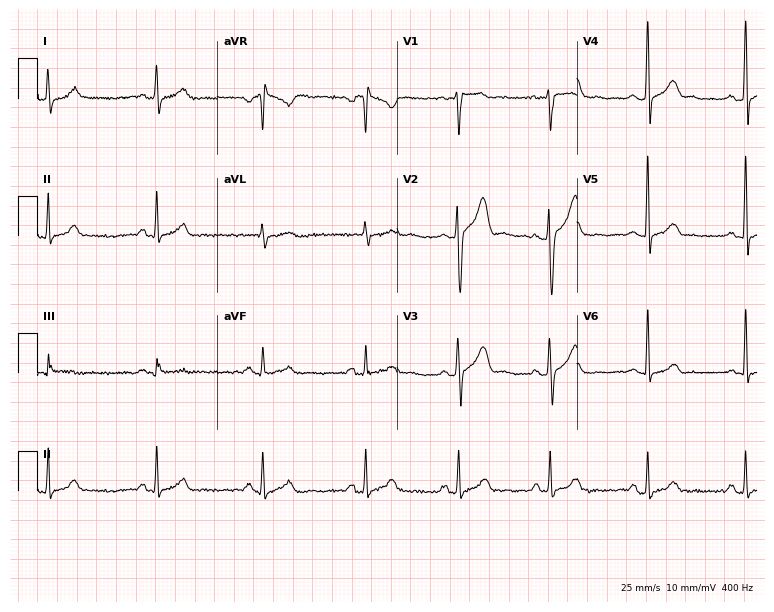
Standard 12-lead ECG recorded from a male, 36 years old (7.3-second recording at 400 Hz). Read as a normal ECG.